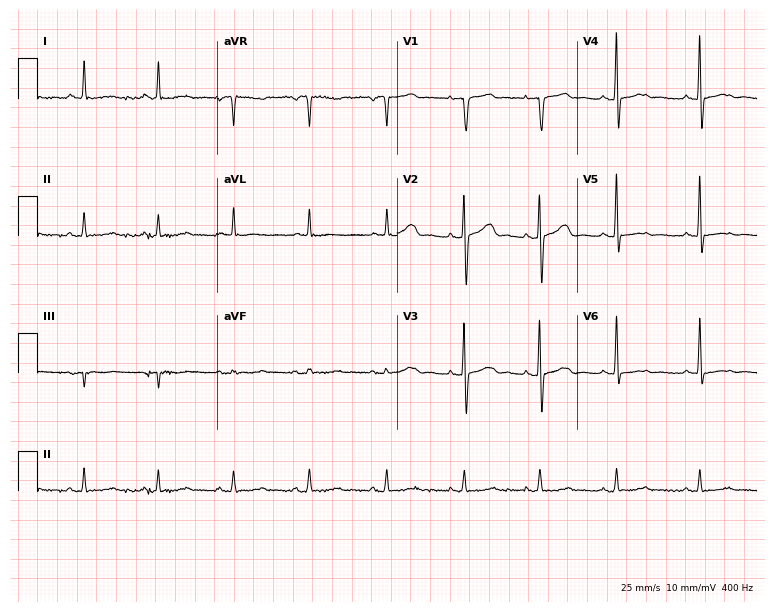
Standard 12-lead ECG recorded from an 83-year-old woman (7.3-second recording at 400 Hz). Read as a normal ECG.